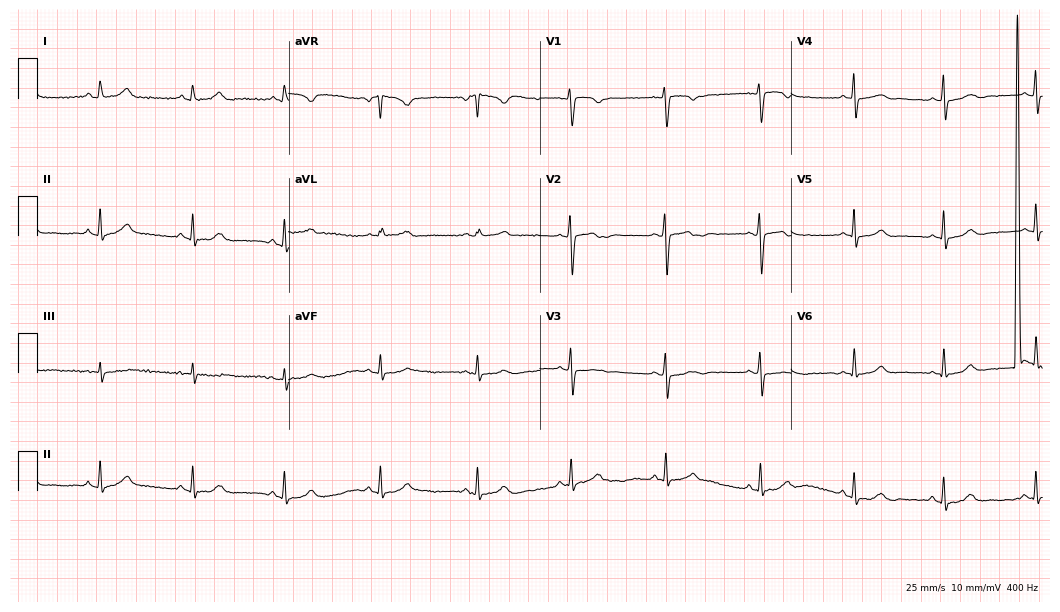
ECG (10.2-second recording at 400 Hz) — a 32-year-old female. Labelled as a normal ECG.